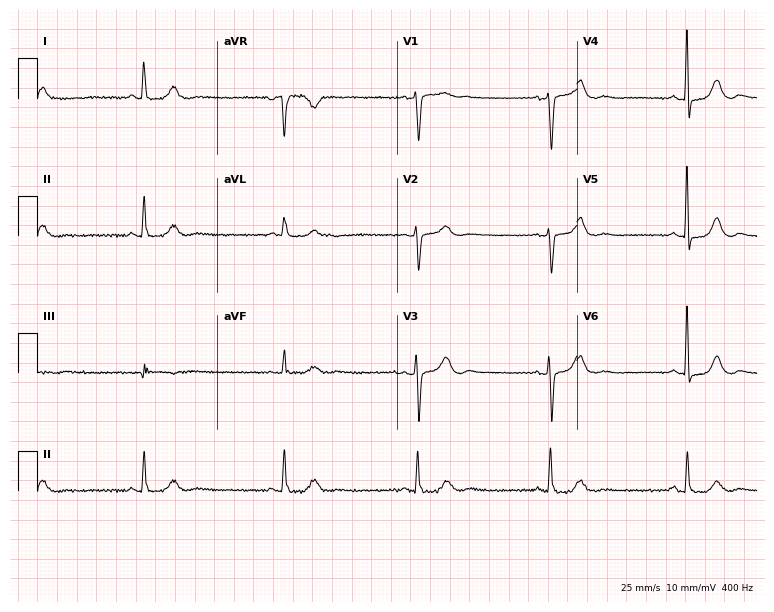
12-lead ECG (7.3-second recording at 400 Hz) from a female, 63 years old. Findings include sinus bradycardia (a sinus rate of 50 beats per minute or less).